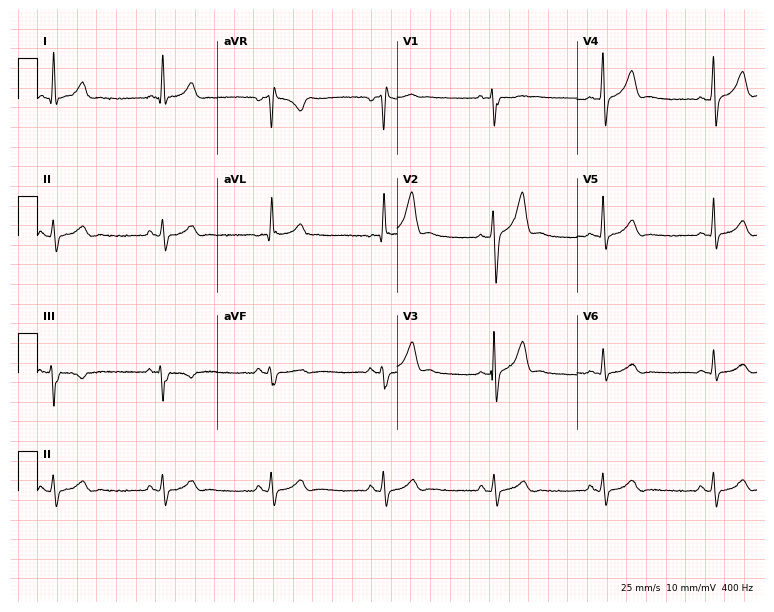
ECG (7.3-second recording at 400 Hz) — a 39-year-old male patient. Labelled as a normal ECG.